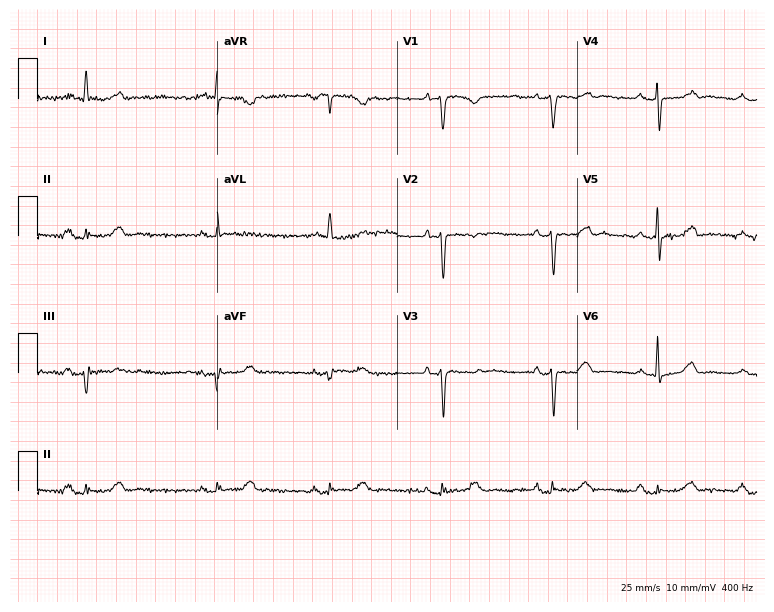
Resting 12-lead electrocardiogram (7.3-second recording at 400 Hz). Patient: a 78-year-old female. None of these six findings is recorded: first-degree AV block, right bundle branch block, left bundle branch block, sinus bradycardia, atrial fibrillation, sinus tachycardia.